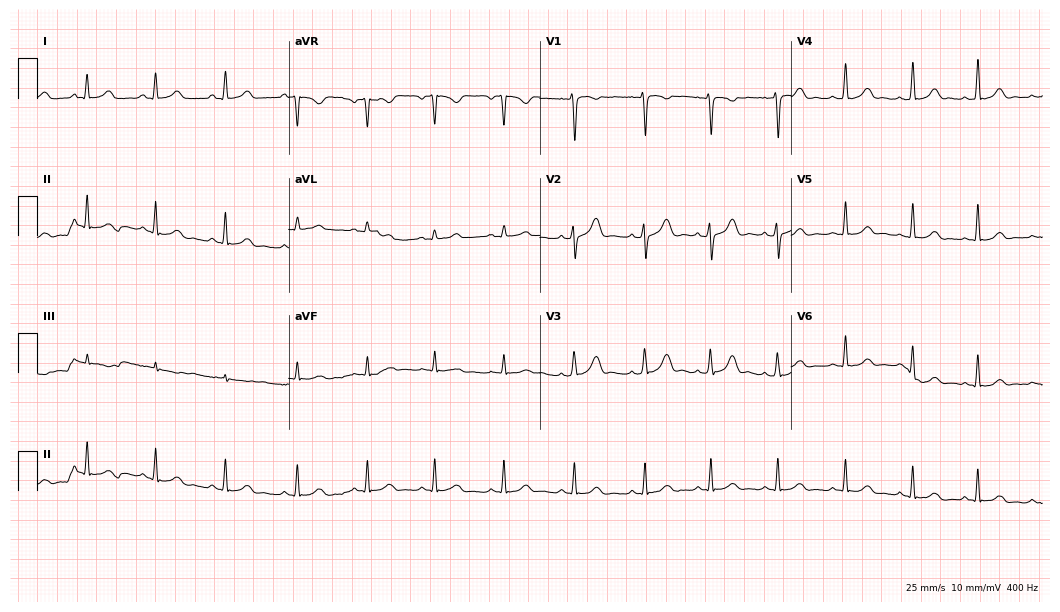
ECG (10.2-second recording at 400 Hz) — a female, 21 years old. Labelled as a normal ECG.